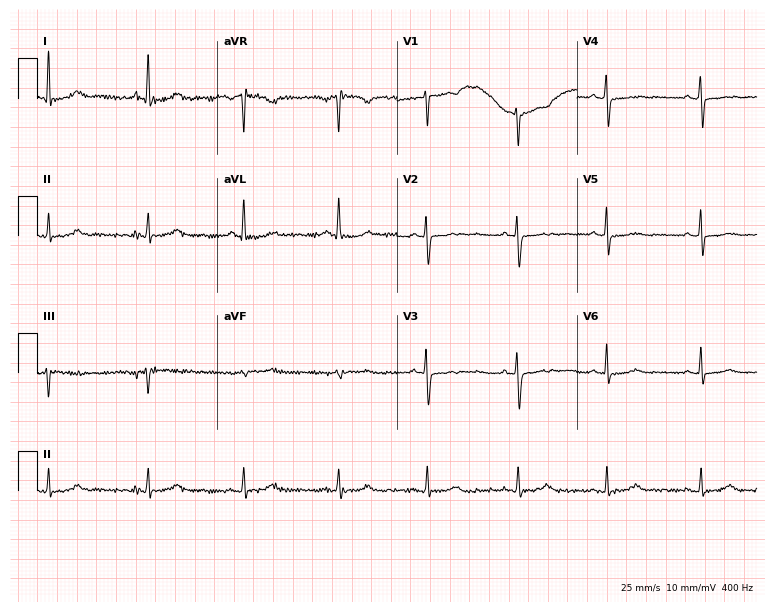
Standard 12-lead ECG recorded from a woman, 67 years old. None of these six findings is recorded: first-degree AV block, right bundle branch block (RBBB), left bundle branch block (LBBB), sinus bradycardia, atrial fibrillation (AF), sinus tachycardia.